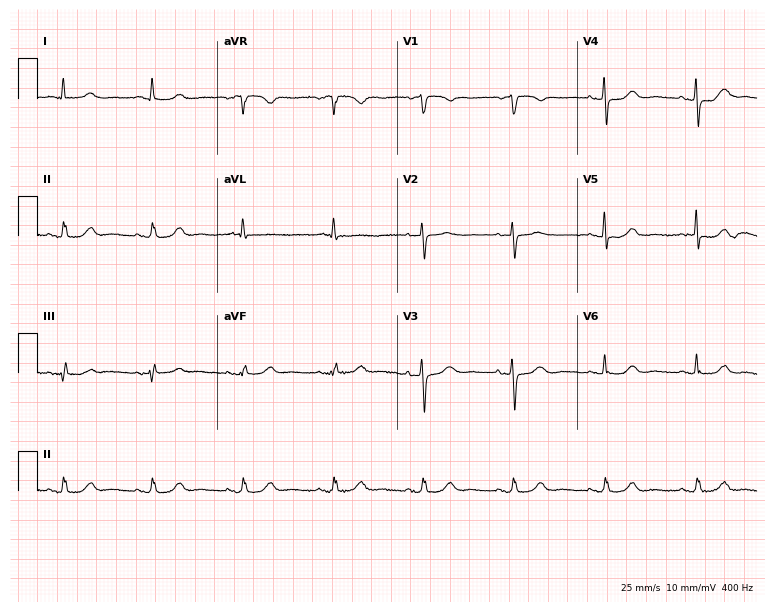
Resting 12-lead electrocardiogram. Patient: a 79-year-old female. None of these six findings is recorded: first-degree AV block, right bundle branch block, left bundle branch block, sinus bradycardia, atrial fibrillation, sinus tachycardia.